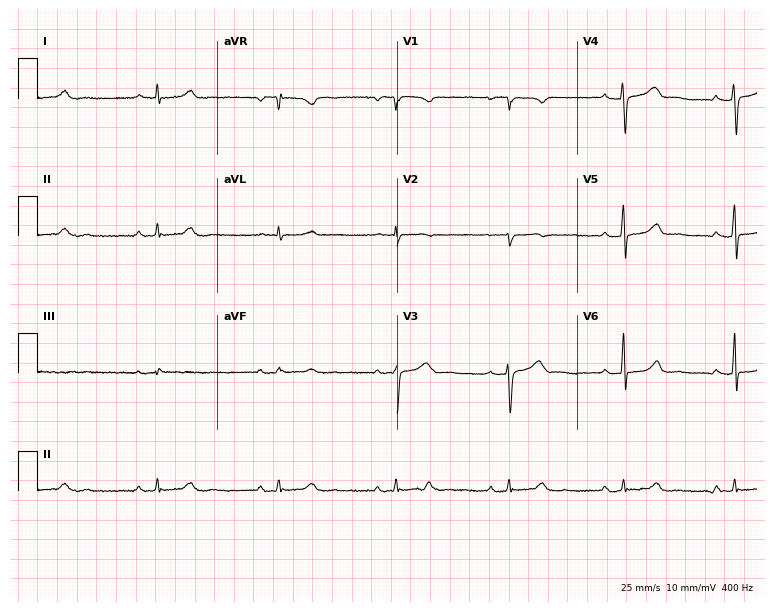
12-lead ECG from a 58-year-old female patient (7.3-second recording at 400 Hz). Recorded interpretation: within normal limits.